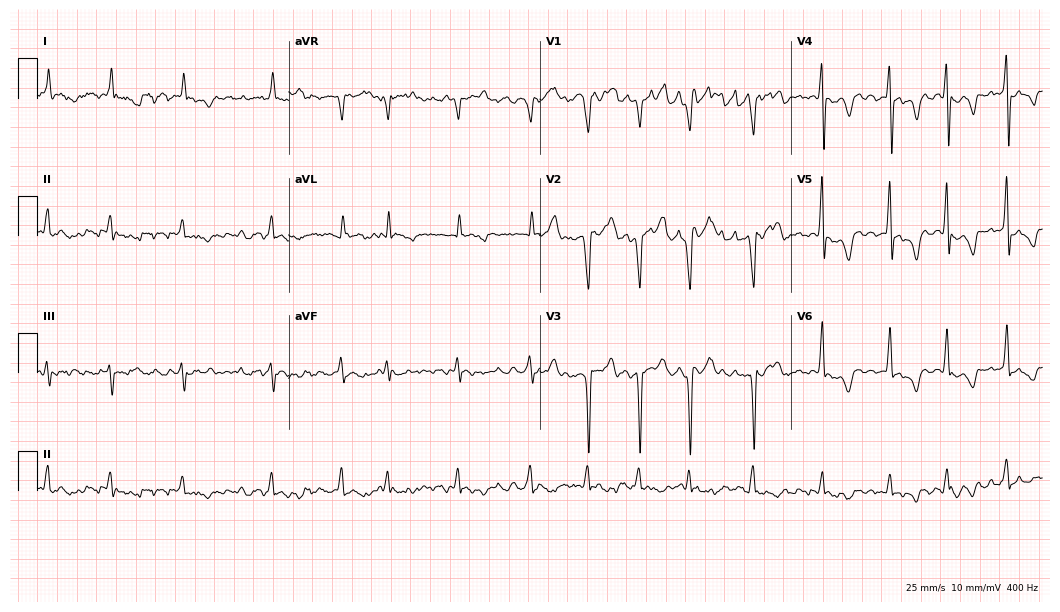
Electrocardiogram (10.2-second recording at 400 Hz), a male, 52 years old. Interpretation includes atrial fibrillation (AF).